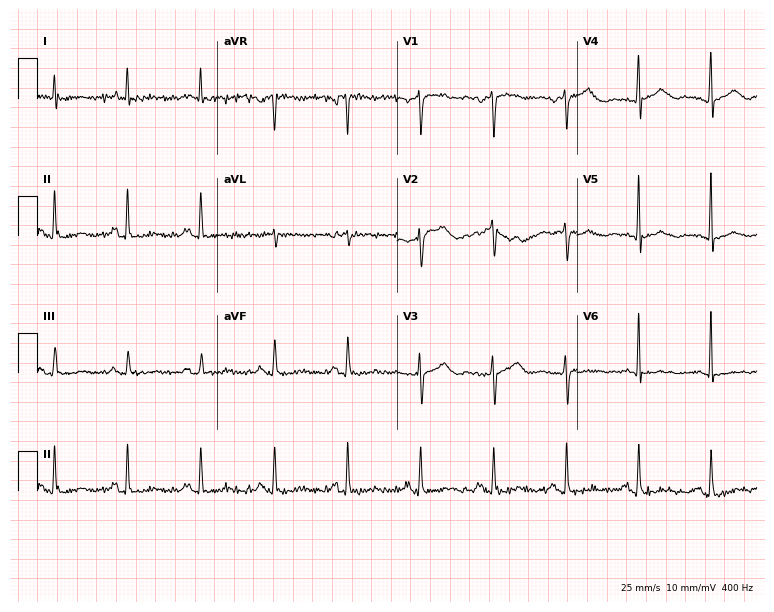
12-lead ECG from a male, 78 years old. Labelled as a normal ECG.